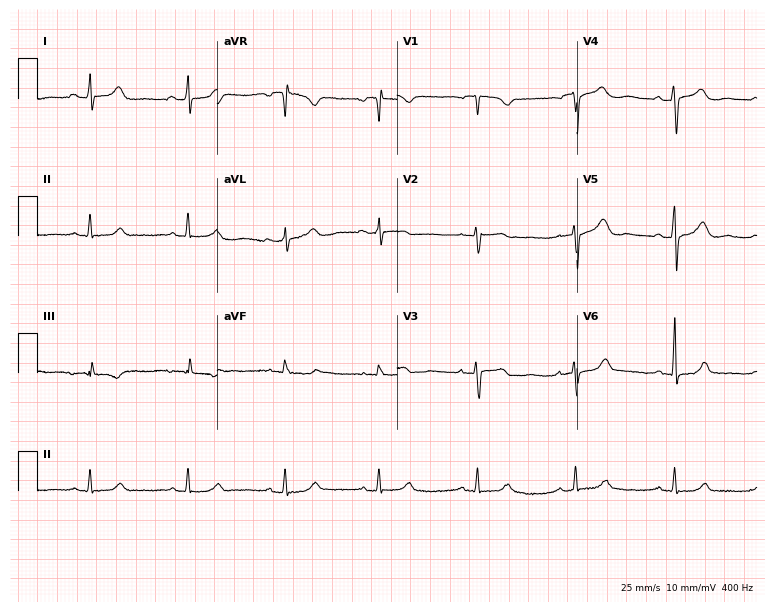
ECG — a 78-year-old woman. Labelled as a normal ECG.